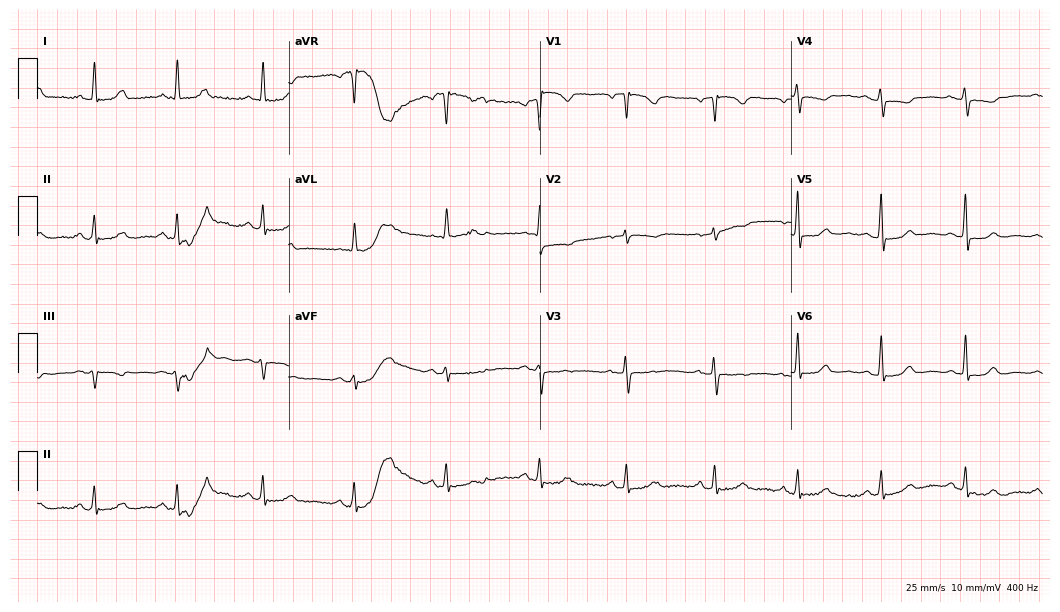
12-lead ECG (10.2-second recording at 400 Hz) from a female, 55 years old. Screened for six findings — first-degree AV block, right bundle branch block (RBBB), left bundle branch block (LBBB), sinus bradycardia, atrial fibrillation (AF), sinus tachycardia — none is recorded.